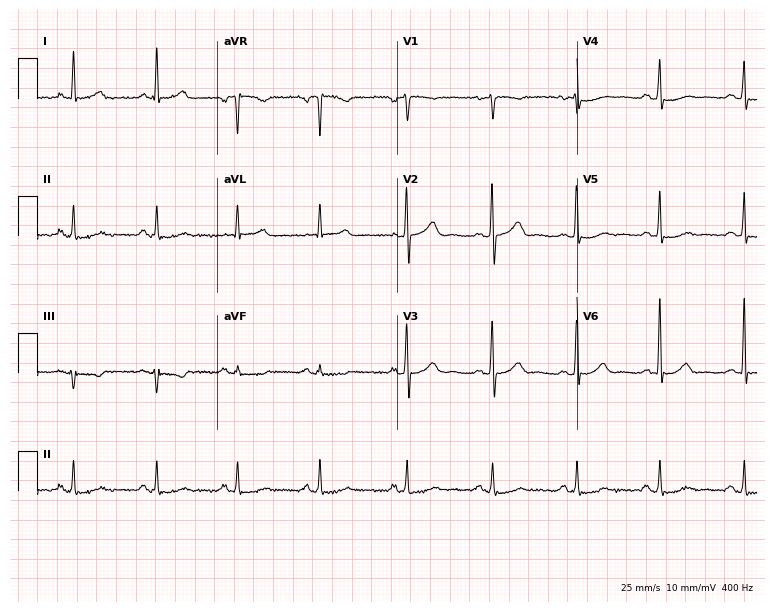
Electrocardiogram (7.3-second recording at 400 Hz), a 52-year-old woman. Overall reading on record: normal ECG.